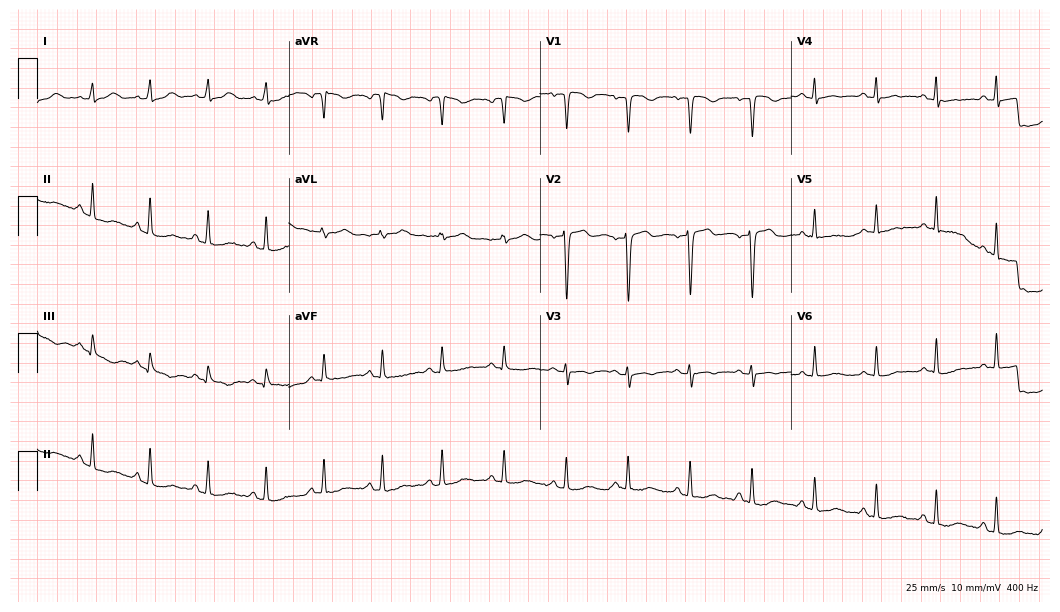
ECG — a 40-year-old female patient. Screened for six findings — first-degree AV block, right bundle branch block, left bundle branch block, sinus bradycardia, atrial fibrillation, sinus tachycardia — none is recorded.